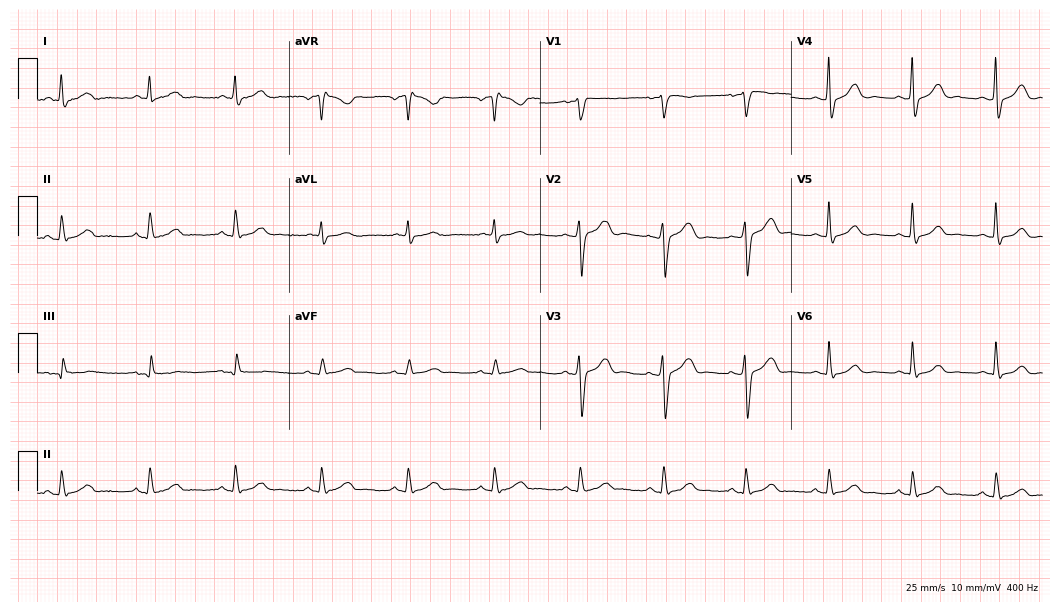
12-lead ECG from a woman, 47 years old. No first-degree AV block, right bundle branch block, left bundle branch block, sinus bradycardia, atrial fibrillation or sinus tachycardia recorded for this tracing. Other findings, if any, are not listed.